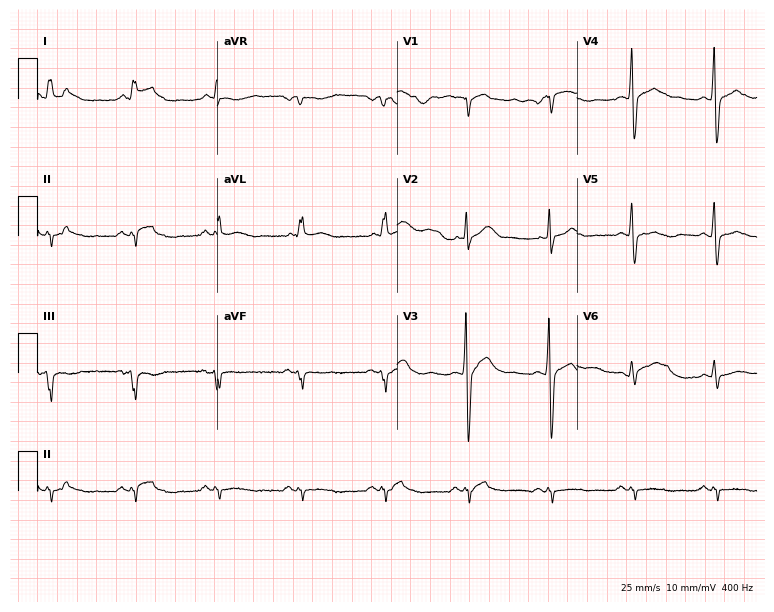
Resting 12-lead electrocardiogram. Patient: a 70-year-old male. None of these six findings is recorded: first-degree AV block, right bundle branch block, left bundle branch block, sinus bradycardia, atrial fibrillation, sinus tachycardia.